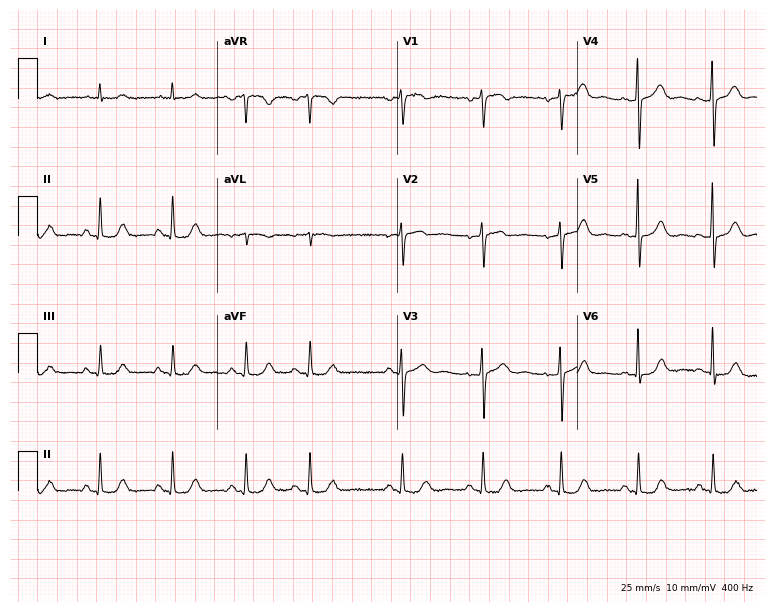
Electrocardiogram, a female patient, 73 years old. Of the six screened findings (first-degree AV block, right bundle branch block, left bundle branch block, sinus bradycardia, atrial fibrillation, sinus tachycardia), none is recorded. Other findings, if any, are not listed.